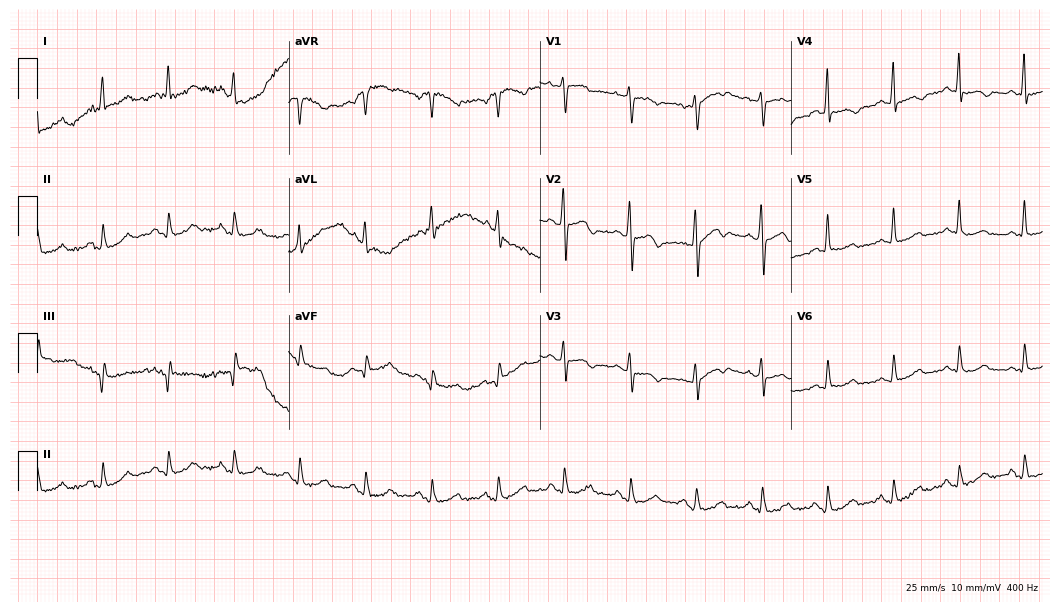
Standard 12-lead ECG recorded from a female, 81 years old (10.2-second recording at 400 Hz). None of these six findings is recorded: first-degree AV block, right bundle branch block, left bundle branch block, sinus bradycardia, atrial fibrillation, sinus tachycardia. Other findings, if any, are not listed.